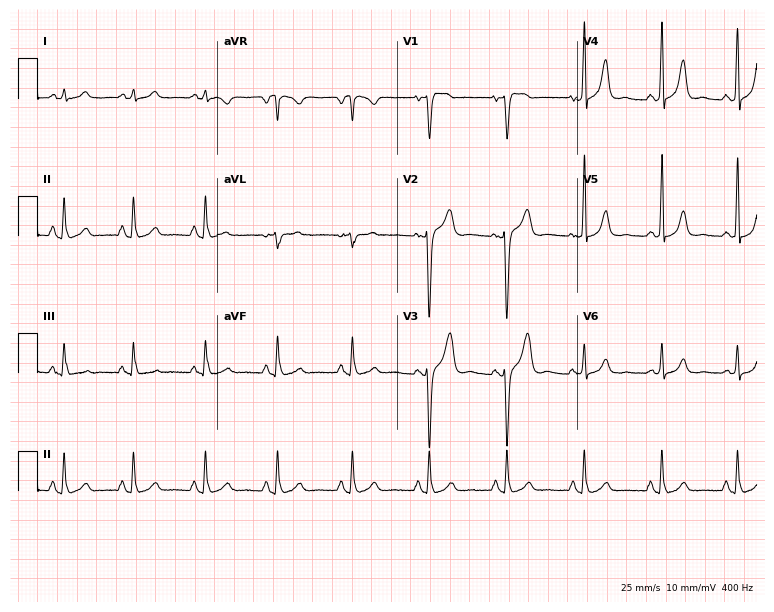
Resting 12-lead electrocardiogram (7.3-second recording at 400 Hz). Patient: a woman, 51 years old. Read as a normal ECG.